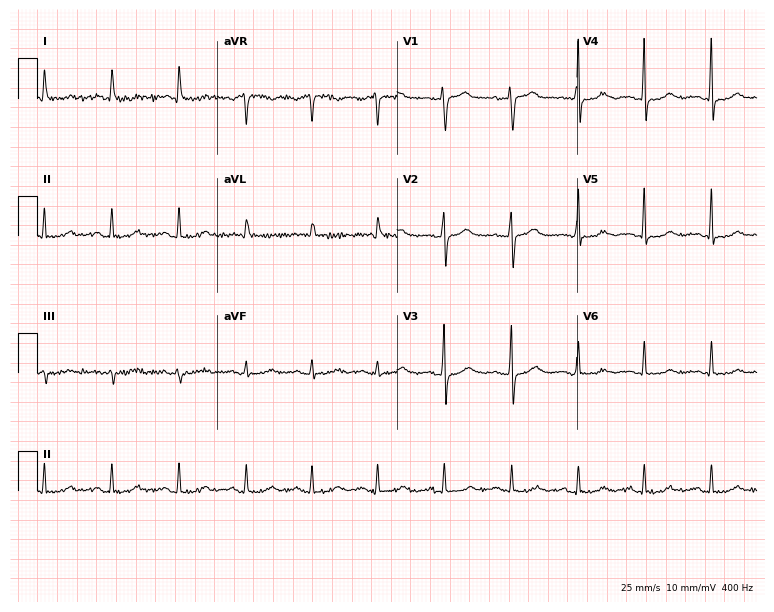
ECG — a female patient, 55 years old. Screened for six findings — first-degree AV block, right bundle branch block, left bundle branch block, sinus bradycardia, atrial fibrillation, sinus tachycardia — none is recorded. Findings outside these six are not listed.